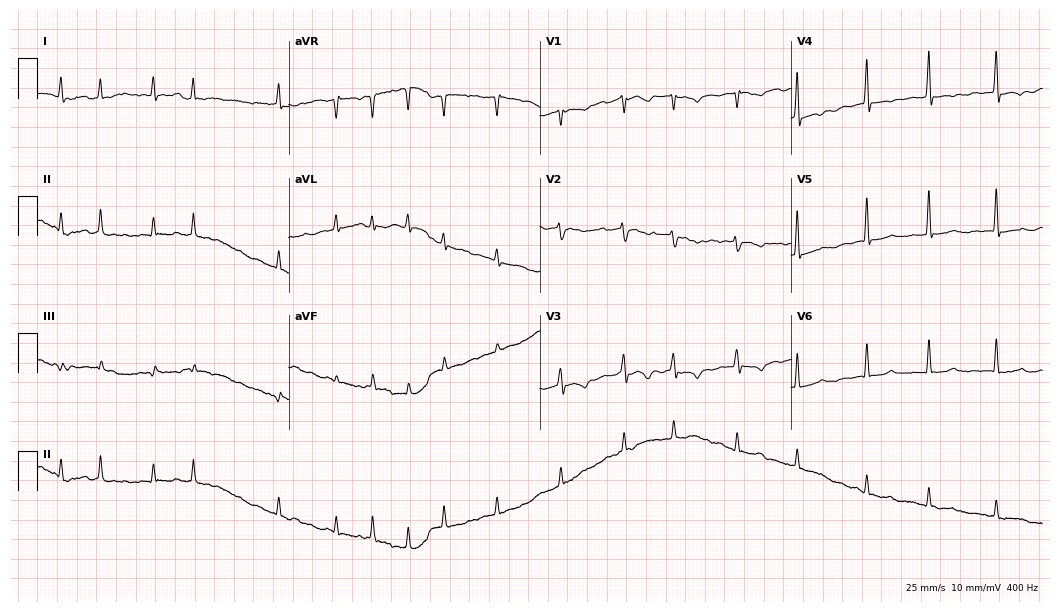
Resting 12-lead electrocardiogram (10.2-second recording at 400 Hz). Patient: a female, 61 years old. None of these six findings is recorded: first-degree AV block, right bundle branch block (RBBB), left bundle branch block (LBBB), sinus bradycardia, atrial fibrillation (AF), sinus tachycardia. Findings outside these six are not listed.